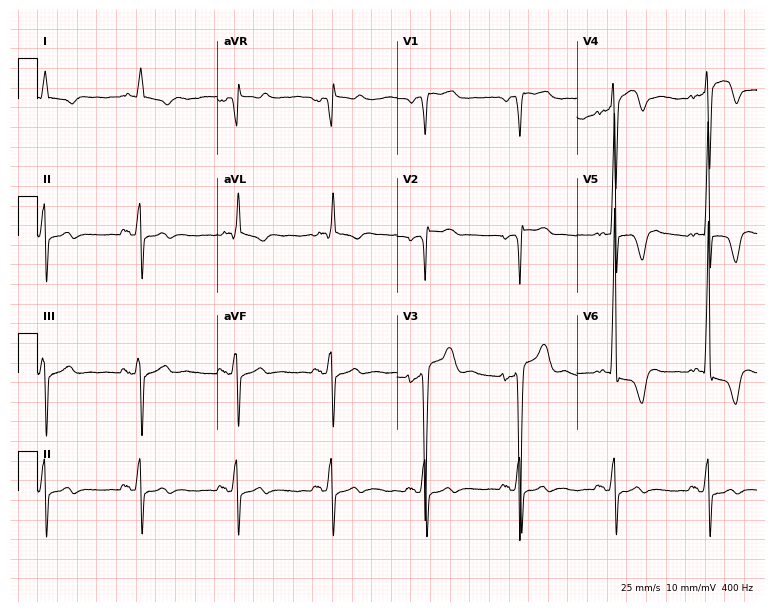
12-lead ECG from a male patient, 84 years old (7.3-second recording at 400 Hz). No first-degree AV block, right bundle branch block, left bundle branch block, sinus bradycardia, atrial fibrillation or sinus tachycardia recorded for this tracing. Other findings, if any, are not listed.